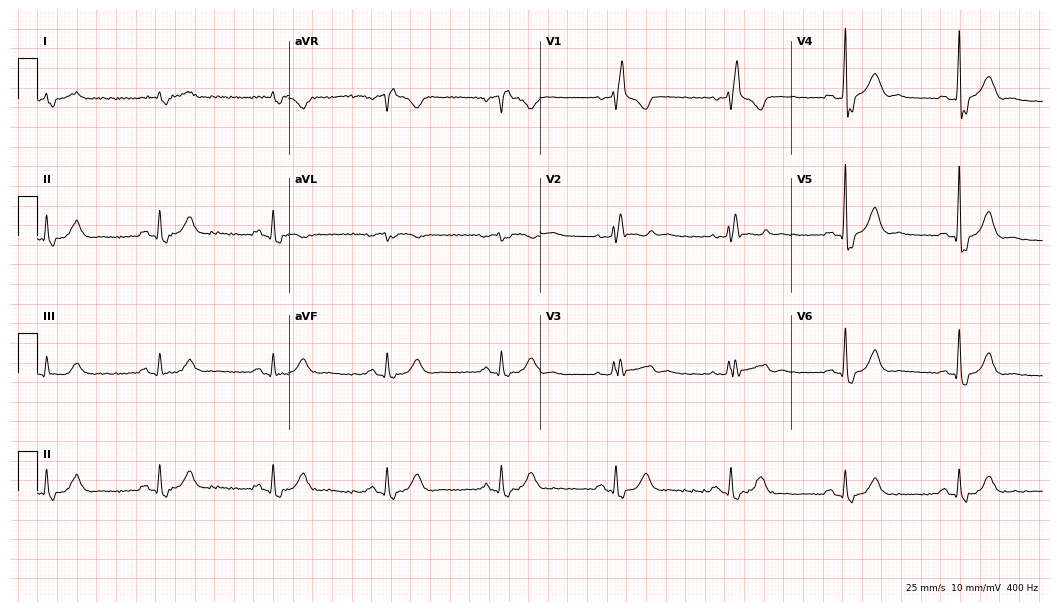
Standard 12-lead ECG recorded from a man, 83 years old (10.2-second recording at 400 Hz). None of these six findings is recorded: first-degree AV block, right bundle branch block (RBBB), left bundle branch block (LBBB), sinus bradycardia, atrial fibrillation (AF), sinus tachycardia.